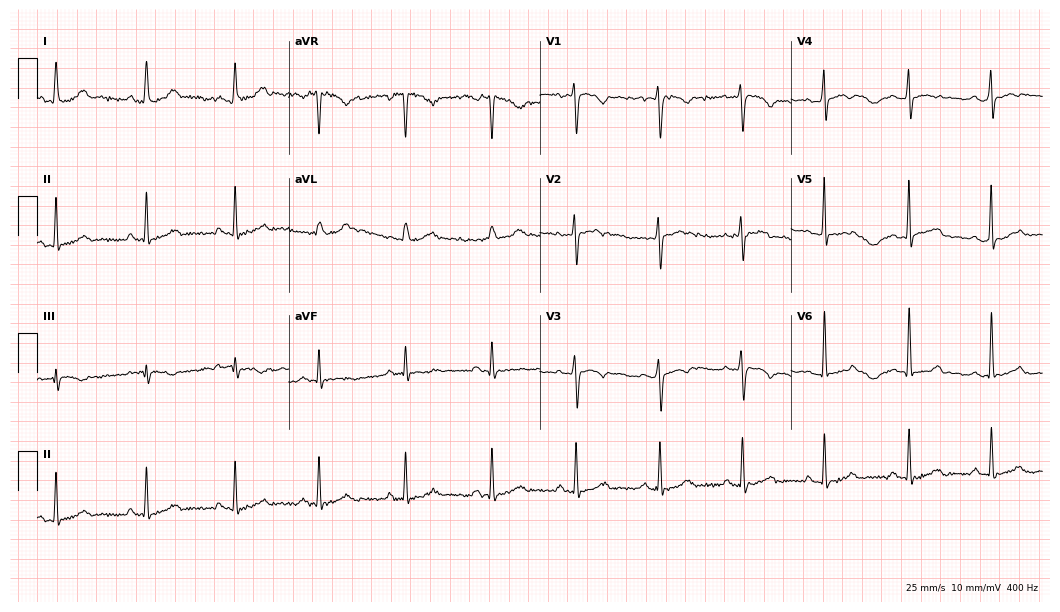
12-lead ECG from a 19-year-old female (10.2-second recording at 400 Hz). No first-degree AV block, right bundle branch block (RBBB), left bundle branch block (LBBB), sinus bradycardia, atrial fibrillation (AF) or sinus tachycardia recorded for this tracing.